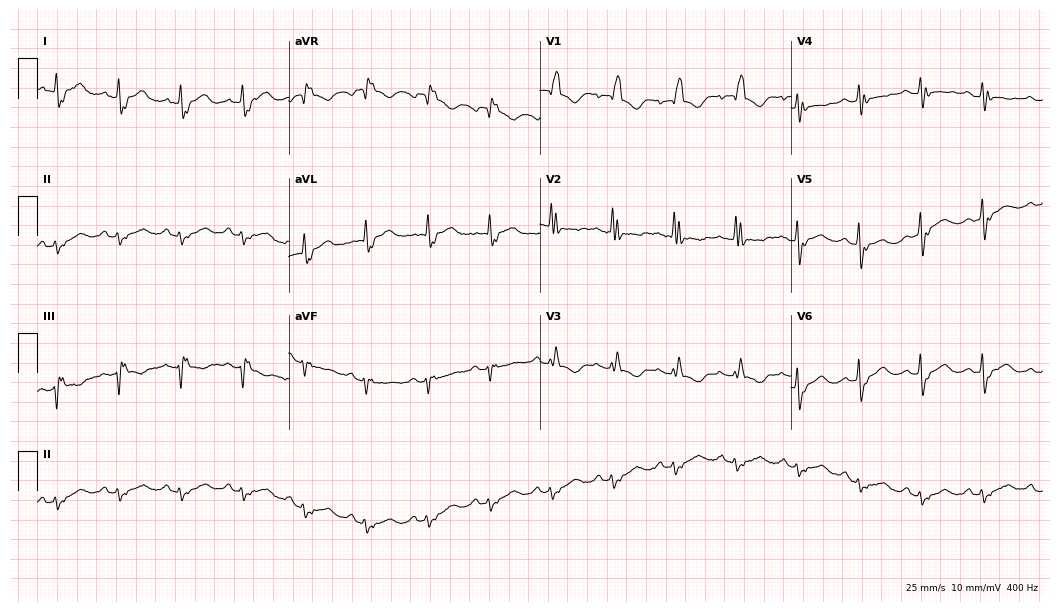
Resting 12-lead electrocardiogram. Patient: a female, 84 years old. None of these six findings is recorded: first-degree AV block, right bundle branch block, left bundle branch block, sinus bradycardia, atrial fibrillation, sinus tachycardia.